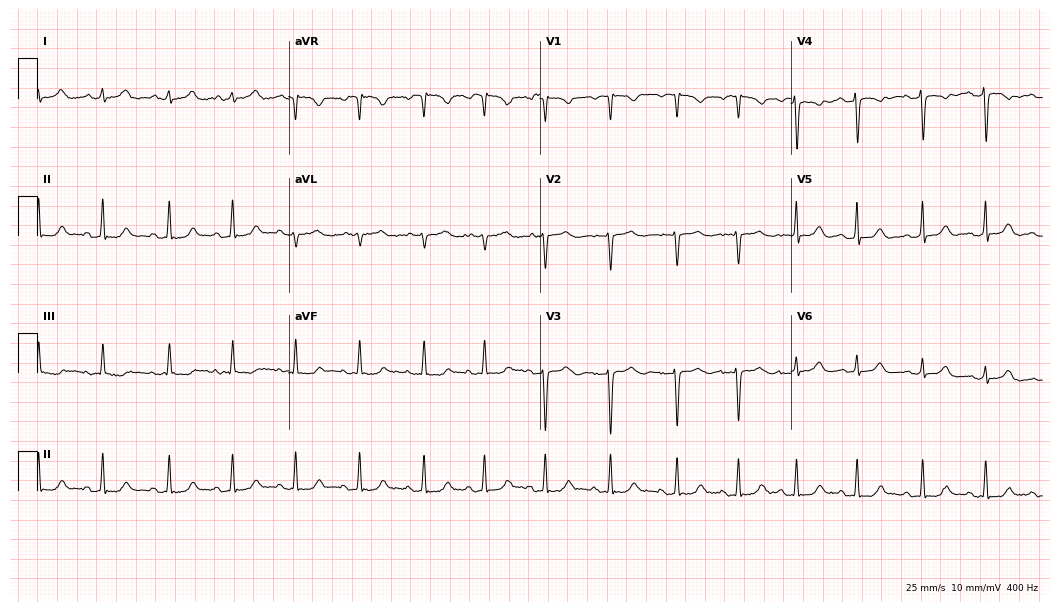
Electrocardiogram, a 25-year-old female. Overall reading on record: normal ECG.